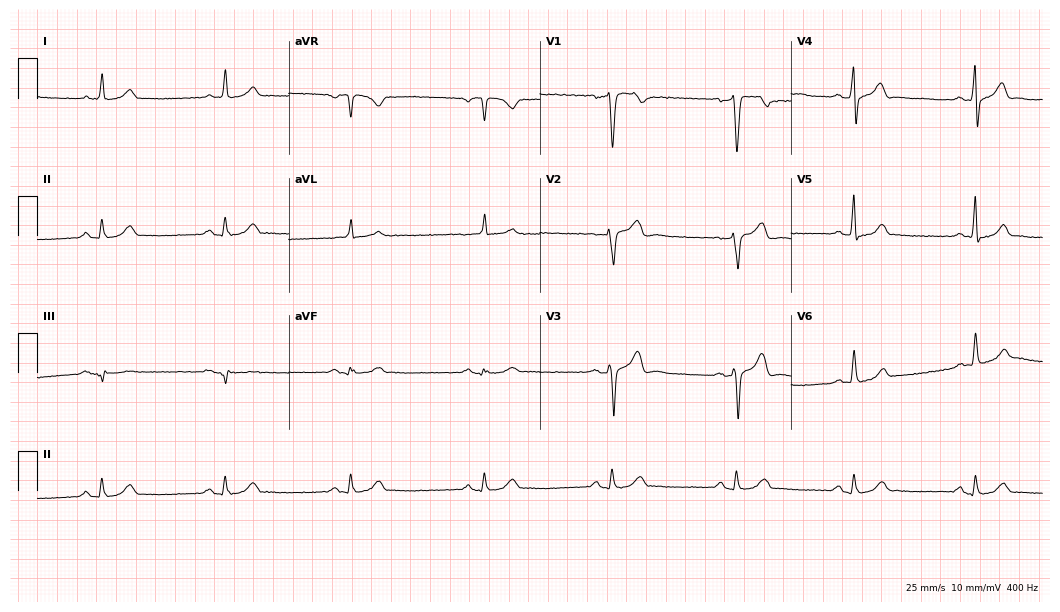
Electrocardiogram (10.2-second recording at 400 Hz), a man, 39 years old. Of the six screened findings (first-degree AV block, right bundle branch block (RBBB), left bundle branch block (LBBB), sinus bradycardia, atrial fibrillation (AF), sinus tachycardia), none is recorded.